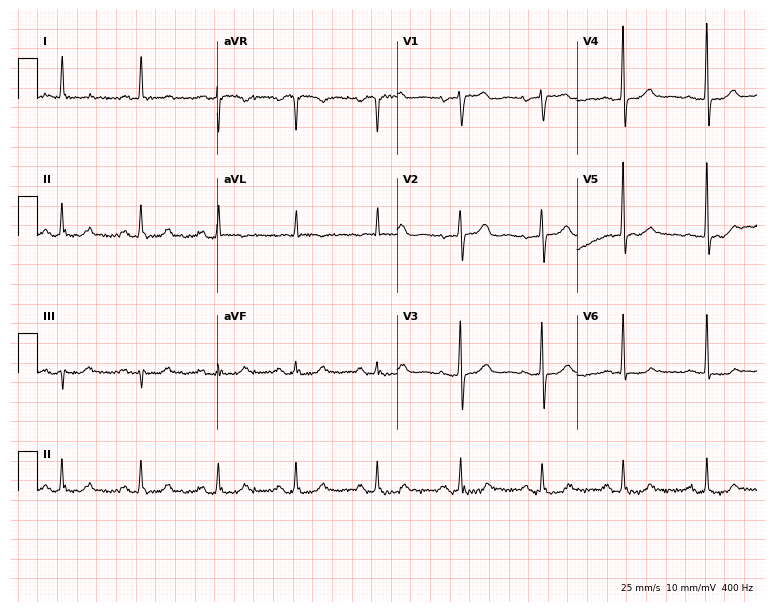
Electrocardiogram (7.3-second recording at 400 Hz), a 73-year-old female. Of the six screened findings (first-degree AV block, right bundle branch block, left bundle branch block, sinus bradycardia, atrial fibrillation, sinus tachycardia), none is recorded.